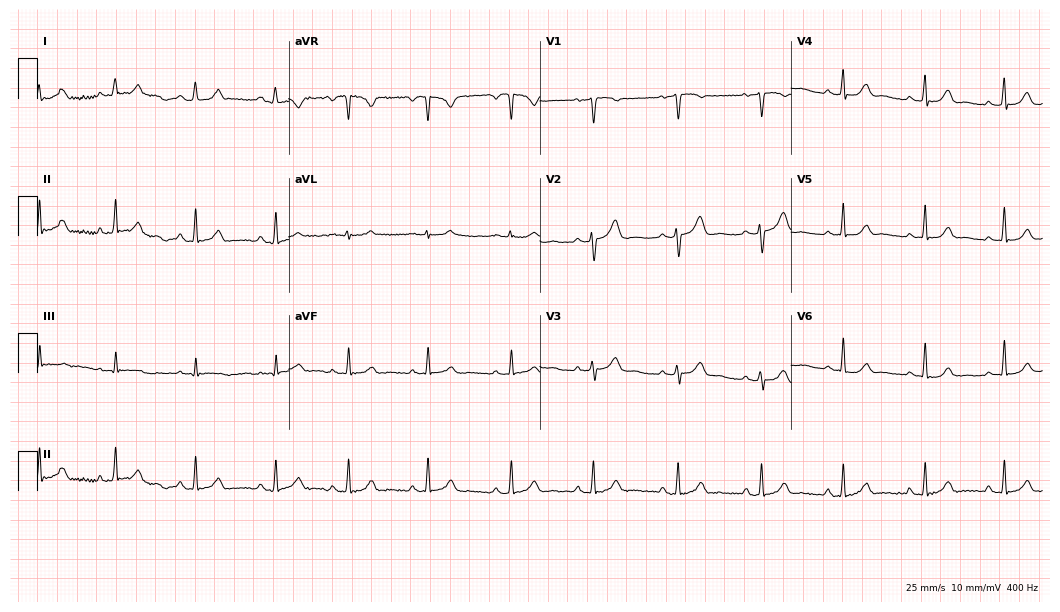
Resting 12-lead electrocardiogram. Patient: a 23-year-old female. None of these six findings is recorded: first-degree AV block, right bundle branch block, left bundle branch block, sinus bradycardia, atrial fibrillation, sinus tachycardia.